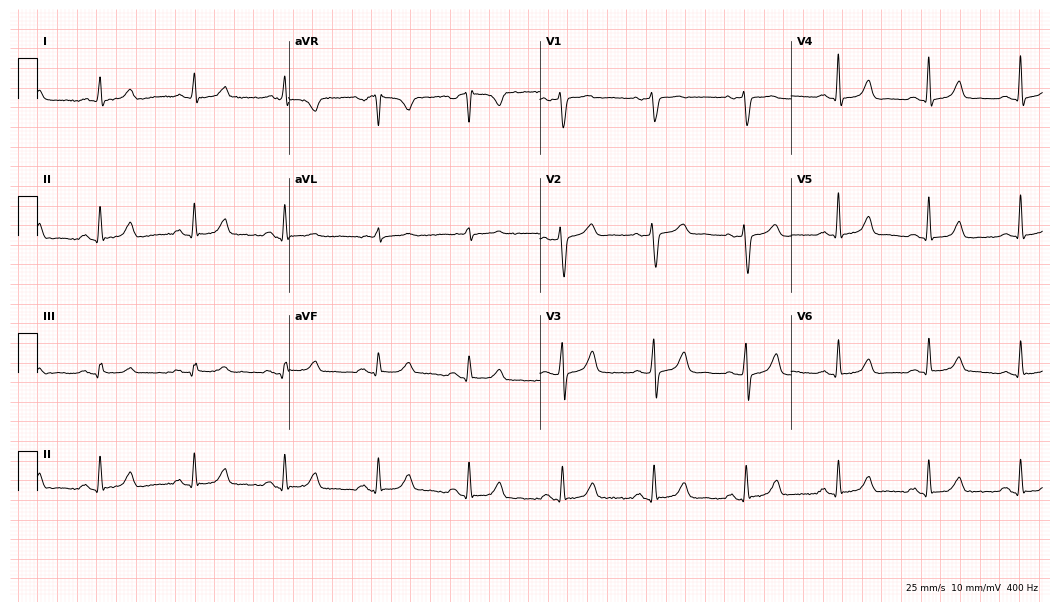
12-lead ECG from a woman, 74 years old. Recorded interpretation: within normal limits.